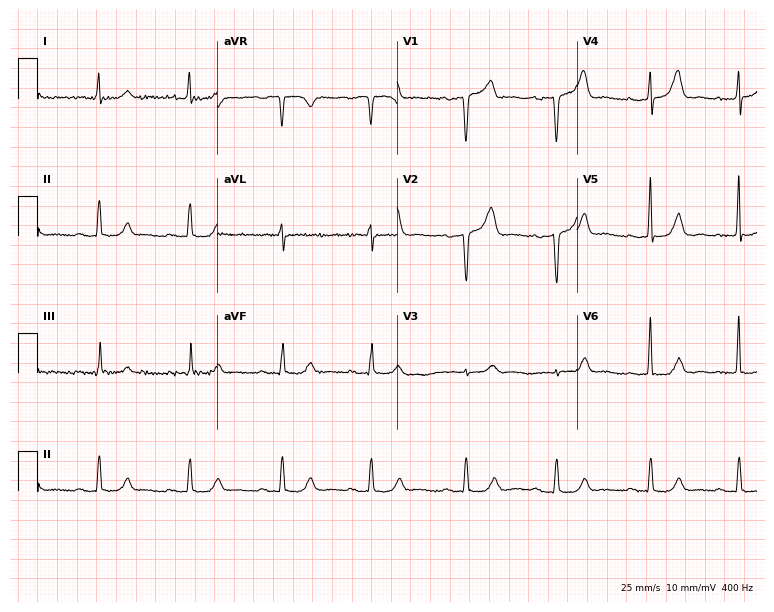
ECG (7.3-second recording at 400 Hz) — a female patient, 81 years old. Screened for six findings — first-degree AV block, right bundle branch block (RBBB), left bundle branch block (LBBB), sinus bradycardia, atrial fibrillation (AF), sinus tachycardia — none is recorded.